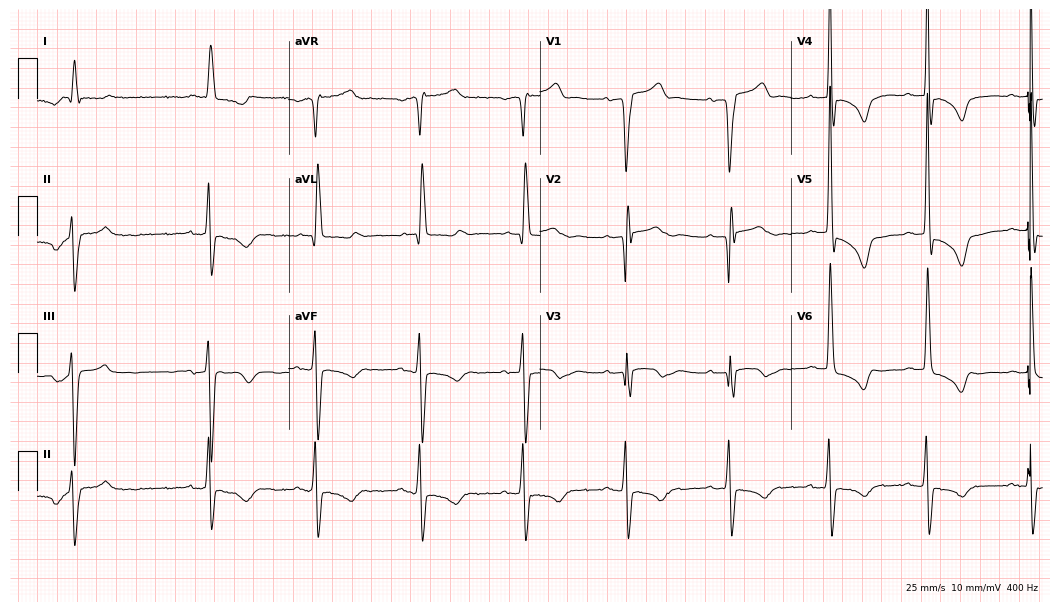
12-lead ECG from a male patient, 79 years old (10.2-second recording at 400 Hz). No first-degree AV block, right bundle branch block (RBBB), left bundle branch block (LBBB), sinus bradycardia, atrial fibrillation (AF) or sinus tachycardia recorded for this tracing. Only these six findings were labelled.